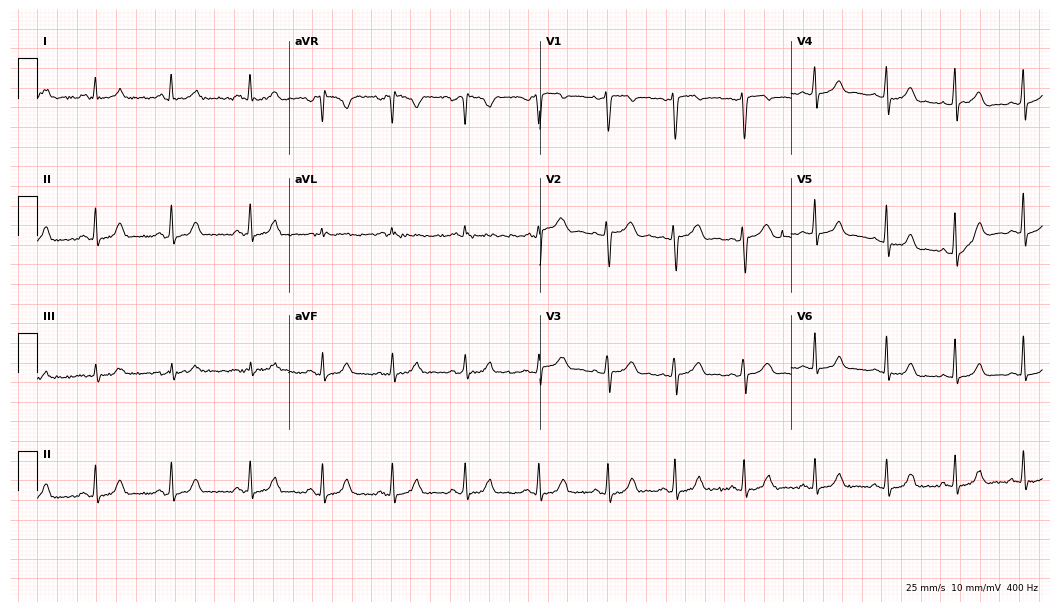
Resting 12-lead electrocardiogram (10.2-second recording at 400 Hz). Patient: a 23-year-old woman. Read as a normal ECG.